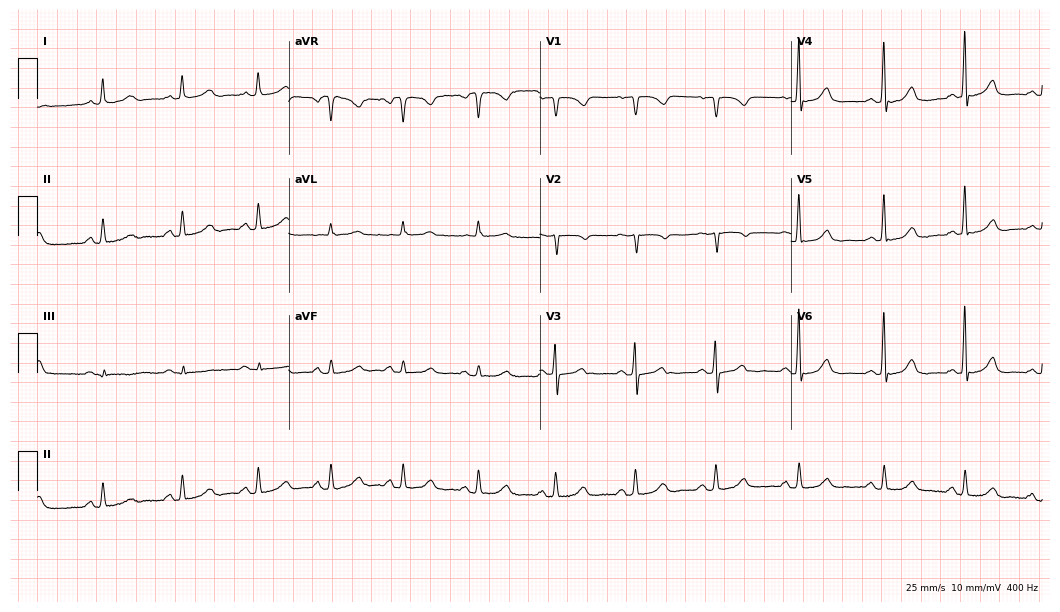
Resting 12-lead electrocardiogram. Patient: a female, 75 years old. None of these six findings is recorded: first-degree AV block, right bundle branch block, left bundle branch block, sinus bradycardia, atrial fibrillation, sinus tachycardia.